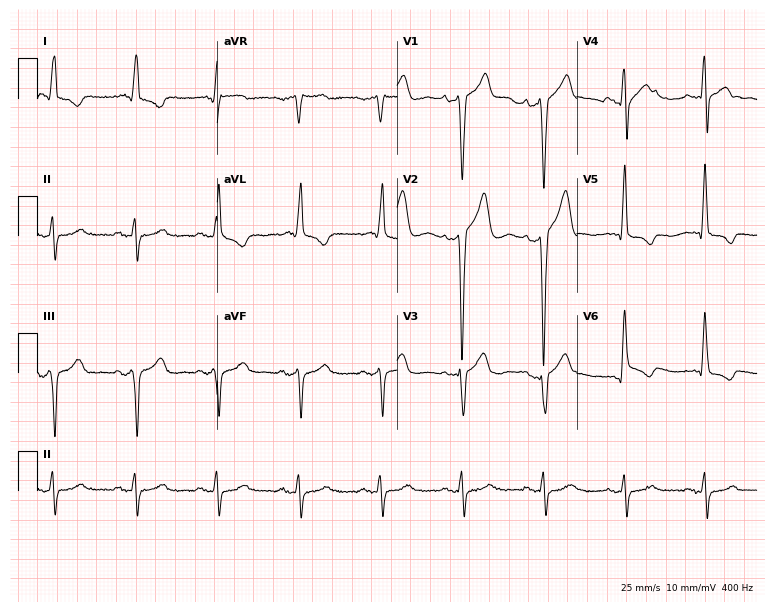
Standard 12-lead ECG recorded from a man, 79 years old. None of these six findings is recorded: first-degree AV block, right bundle branch block, left bundle branch block, sinus bradycardia, atrial fibrillation, sinus tachycardia.